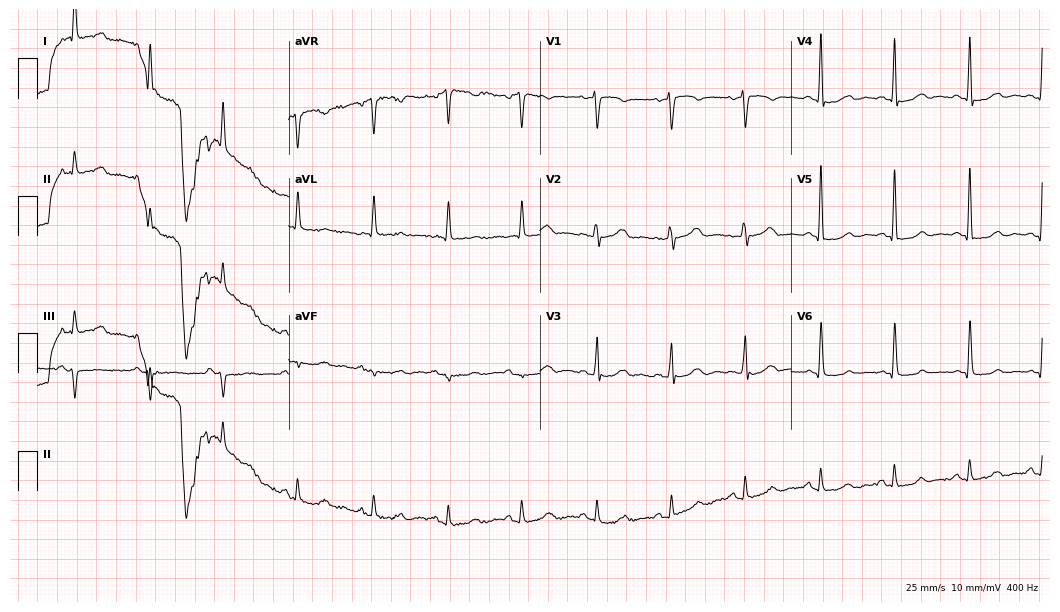
12-lead ECG from a female, 74 years old. Screened for six findings — first-degree AV block, right bundle branch block, left bundle branch block, sinus bradycardia, atrial fibrillation, sinus tachycardia — none is recorded. Findings outside these six are not listed.